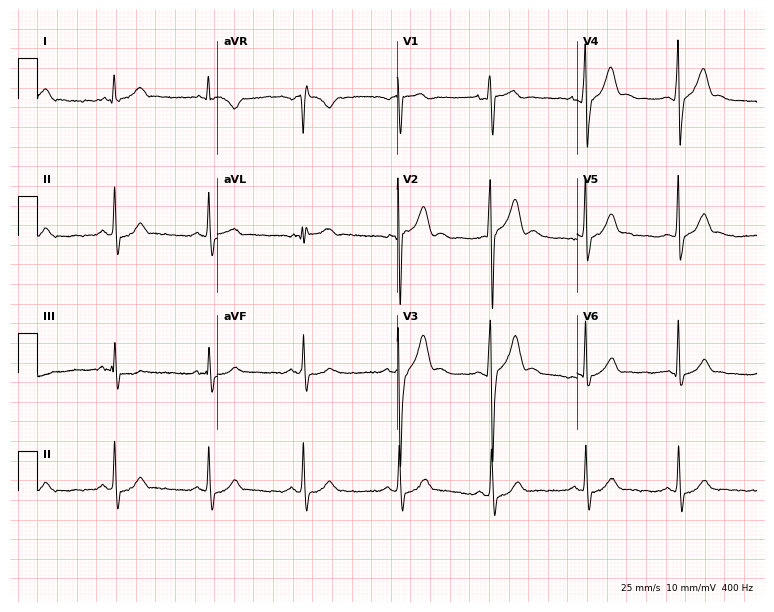
12-lead ECG from a 19-year-old man. Recorded interpretation: within normal limits.